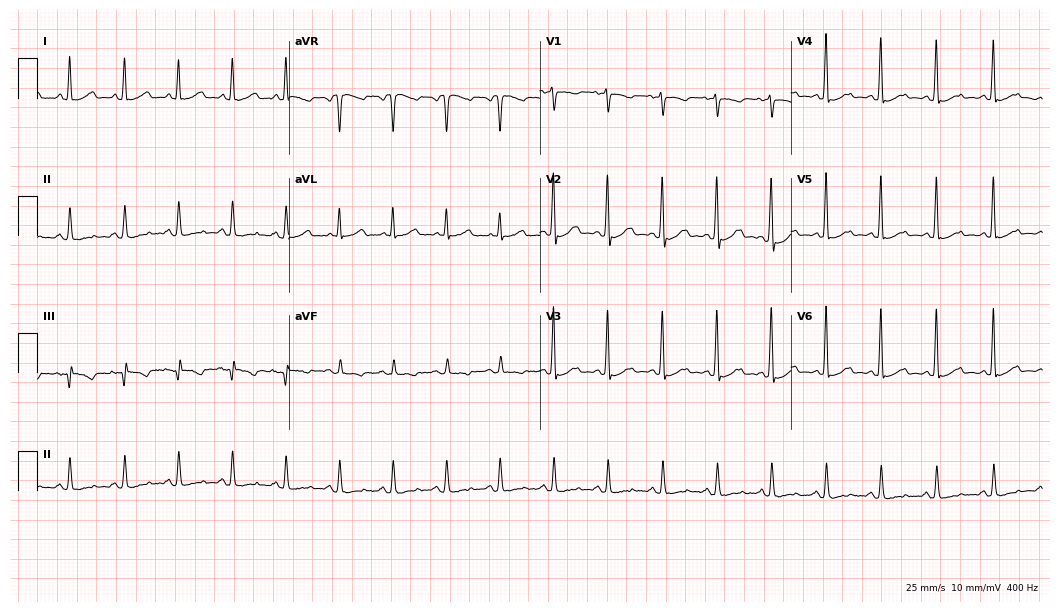
ECG (10.2-second recording at 400 Hz) — a 59-year-old woman. Findings include sinus tachycardia (a sinus rate of 100 beats per minute or more).